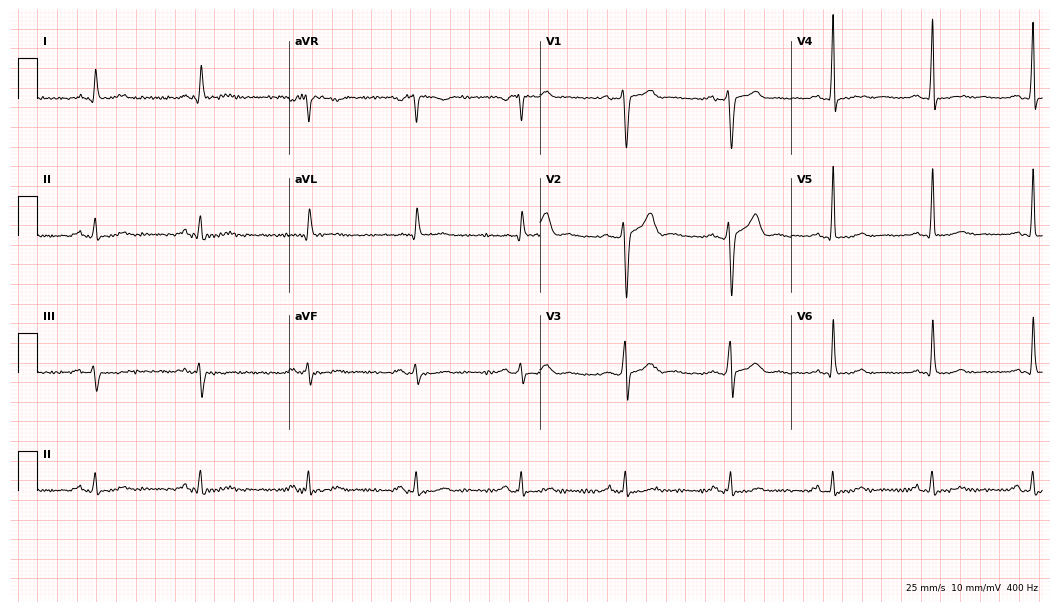
Resting 12-lead electrocardiogram. Patient: a 52-year-old male. None of these six findings is recorded: first-degree AV block, right bundle branch block, left bundle branch block, sinus bradycardia, atrial fibrillation, sinus tachycardia. Findings outside these six are not listed.